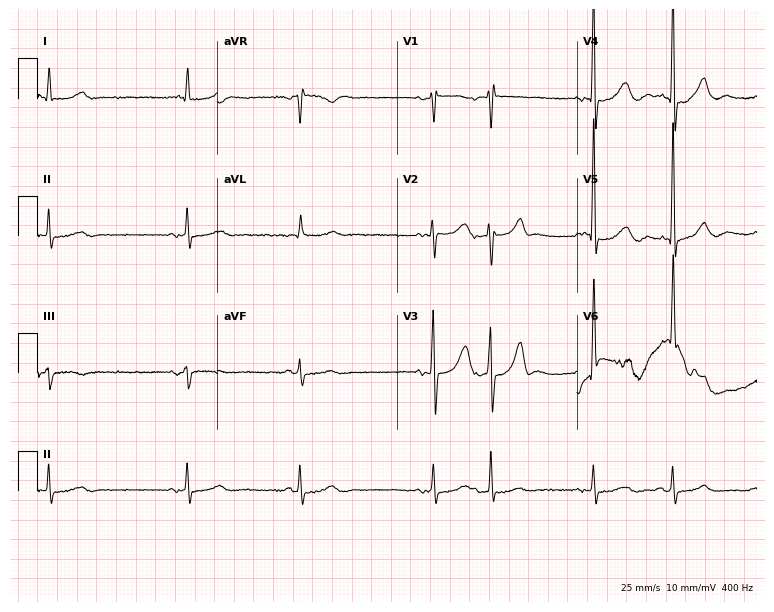
12-lead ECG from a 73-year-old male (7.3-second recording at 400 Hz). No first-degree AV block, right bundle branch block, left bundle branch block, sinus bradycardia, atrial fibrillation or sinus tachycardia recorded for this tracing. Other findings, if any, are not listed.